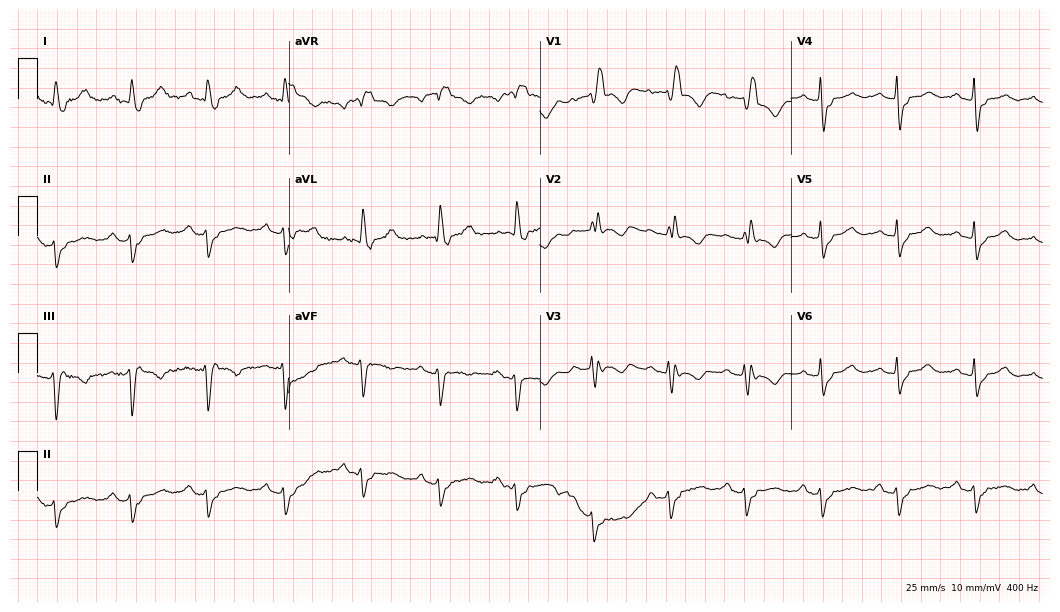
ECG — a 66-year-old female. Findings include right bundle branch block.